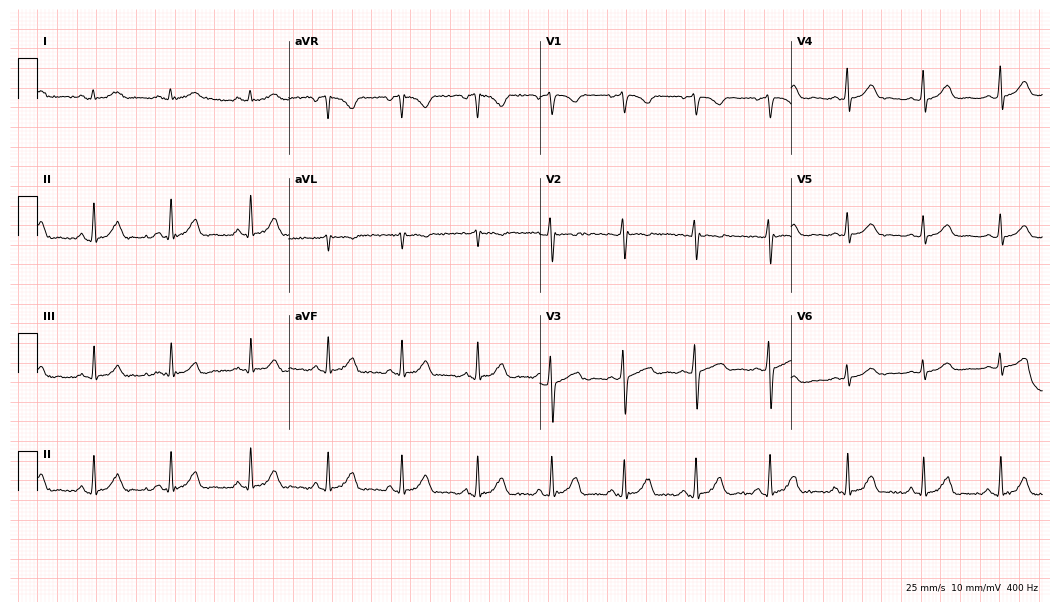
Resting 12-lead electrocardiogram. Patient: a 25-year-old woman. Read as a normal ECG.